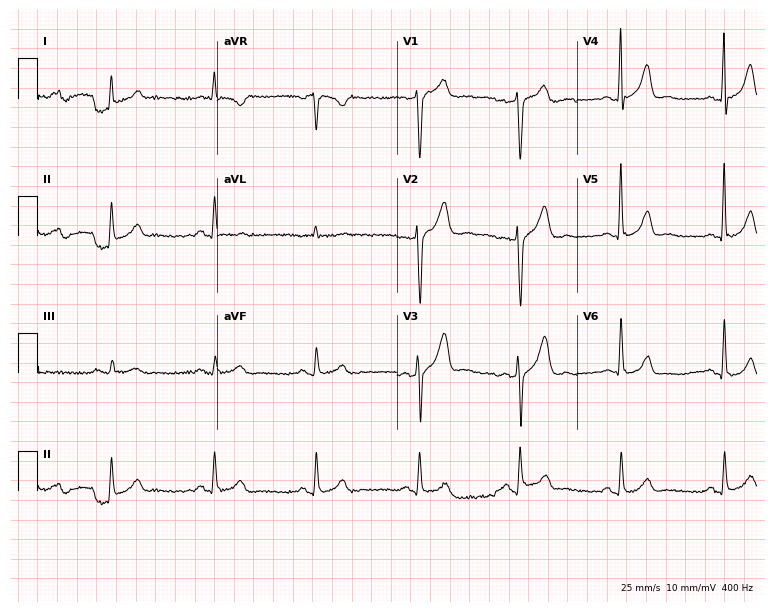
12-lead ECG (7.3-second recording at 400 Hz) from a 45-year-old male patient. Labelled as a normal ECG.